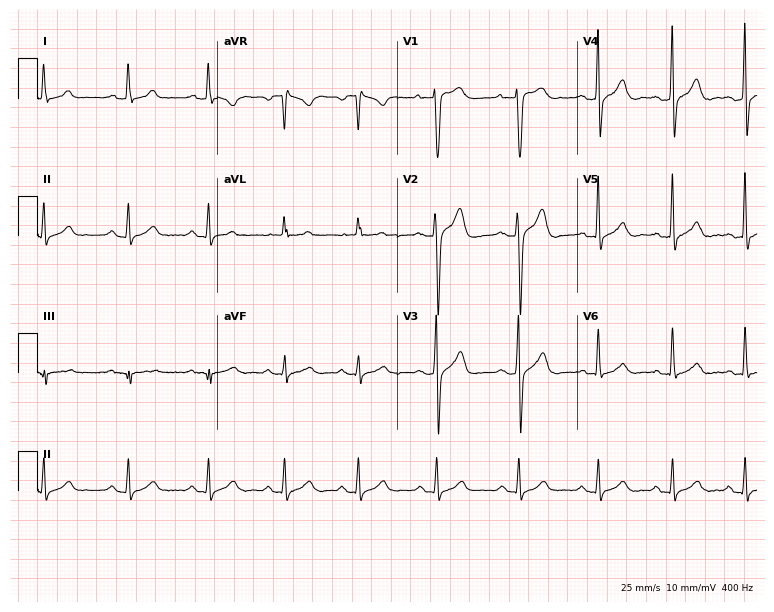
12-lead ECG from a 28-year-old male patient. Recorded interpretation: within normal limits.